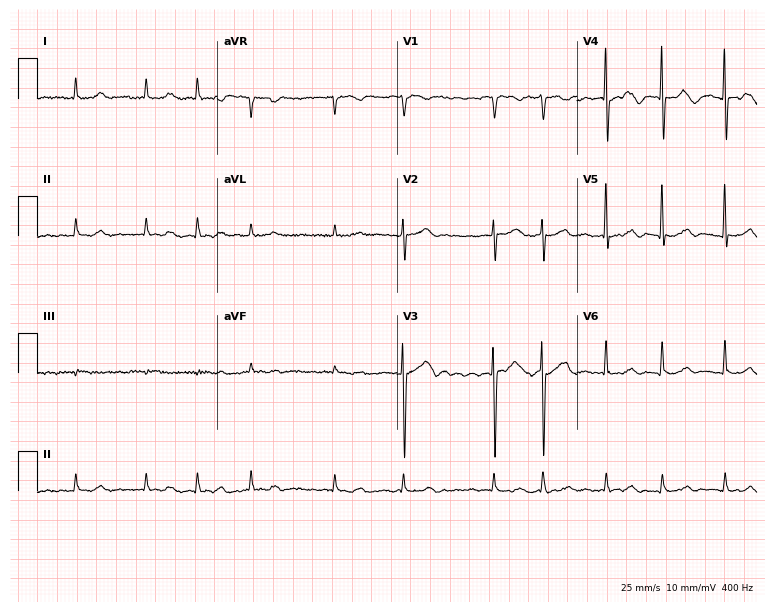
ECG (7.3-second recording at 400 Hz) — a female, 85 years old. Screened for six findings — first-degree AV block, right bundle branch block (RBBB), left bundle branch block (LBBB), sinus bradycardia, atrial fibrillation (AF), sinus tachycardia — none is recorded. Only these six findings were labelled.